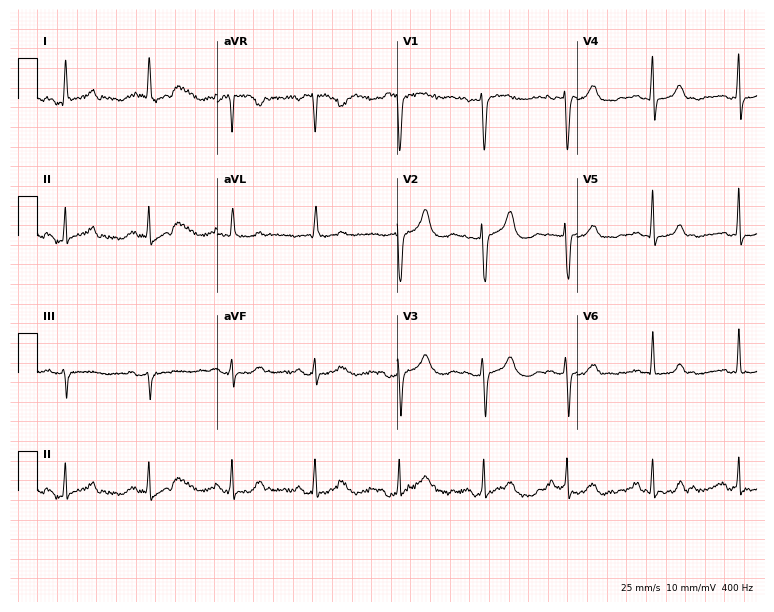
Resting 12-lead electrocardiogram (7.3-second recording at 400 Hz). Patient: a female, 66 years old. Read as a normal ECG.